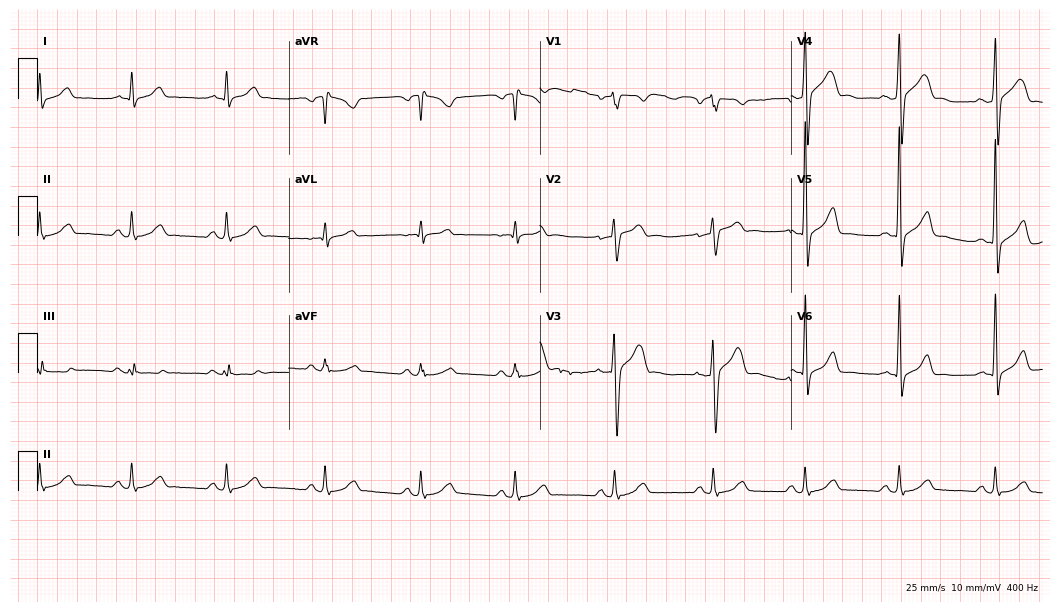
Resting 12-lead electrocardiogram (10.2-second recording at 400 Hz). Patient: a male, 48 years old. Read as a normal ECG.